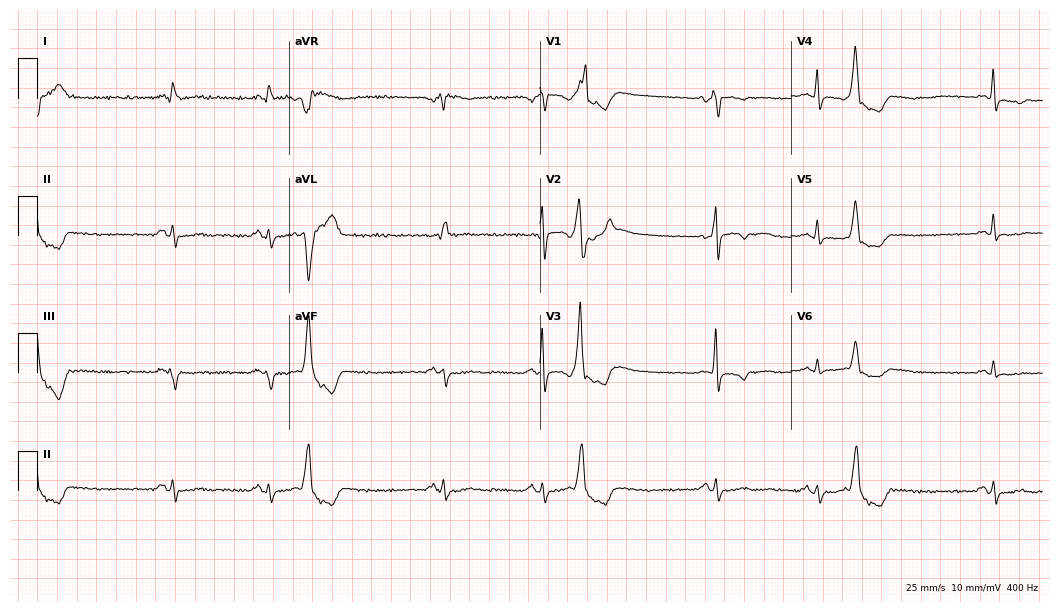
12-lead ECG (10.2-second recording at 400 Hz) from a 60-year-old female. Screened for six findings — first-degree AV block, right bundle branch block, left bundle branch block, sinus bradycardia, atrial fibrillation, sinus tachycardia — none is recorded.